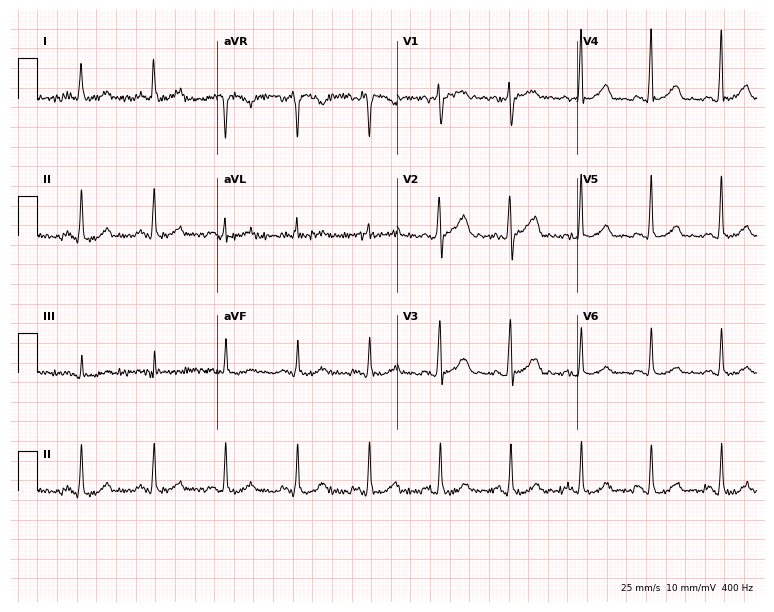
Standard 12-lead ECG recorded from a 38-year-old male patient. Read as a normal ECG.